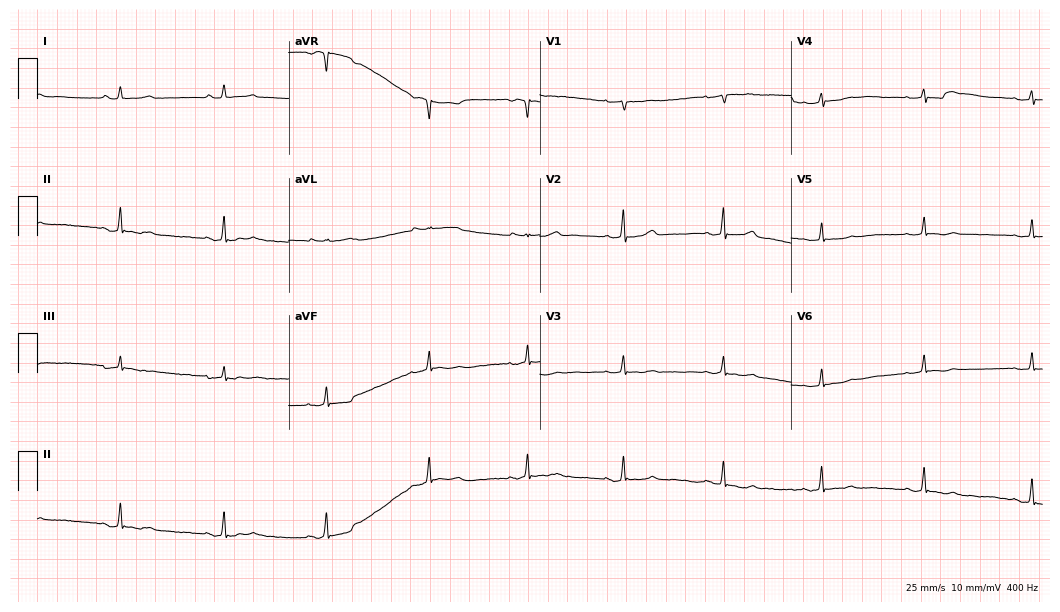
Resting 12-lead electrocardiogram. Patient: a female, 33 years old. None of these six findings is recorded: first-degree AV block, right bundle branch block (RBBB), left bundle branch block (LBBB), sinus bradycardia, atrial fibrillation (AF), sinus tachycardia. Findings outside these six are not listed.